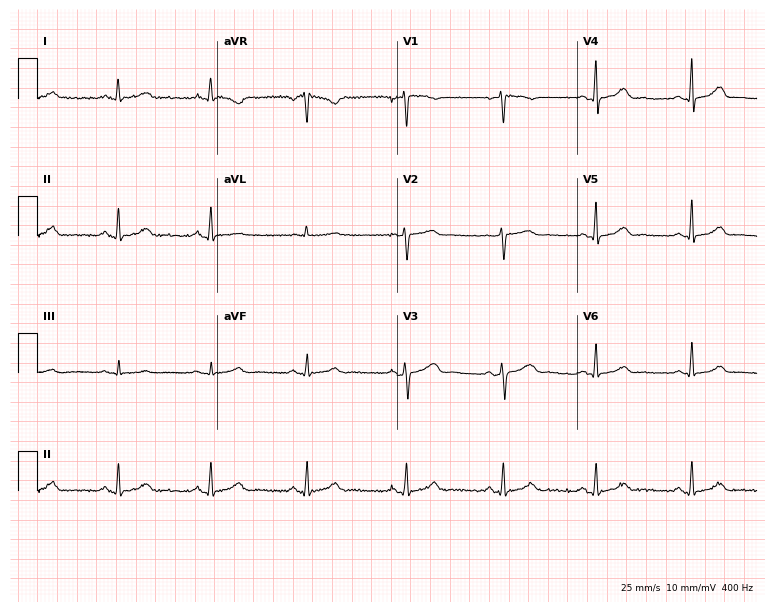
Electrocardiogram, a 49-year-old woman. Of the six screened findings (first-degree AV block, right bundle branch block, left bundle branch block, sinus bradycardia, atrial fibrillation, sinus tachycardia), none is recorded.